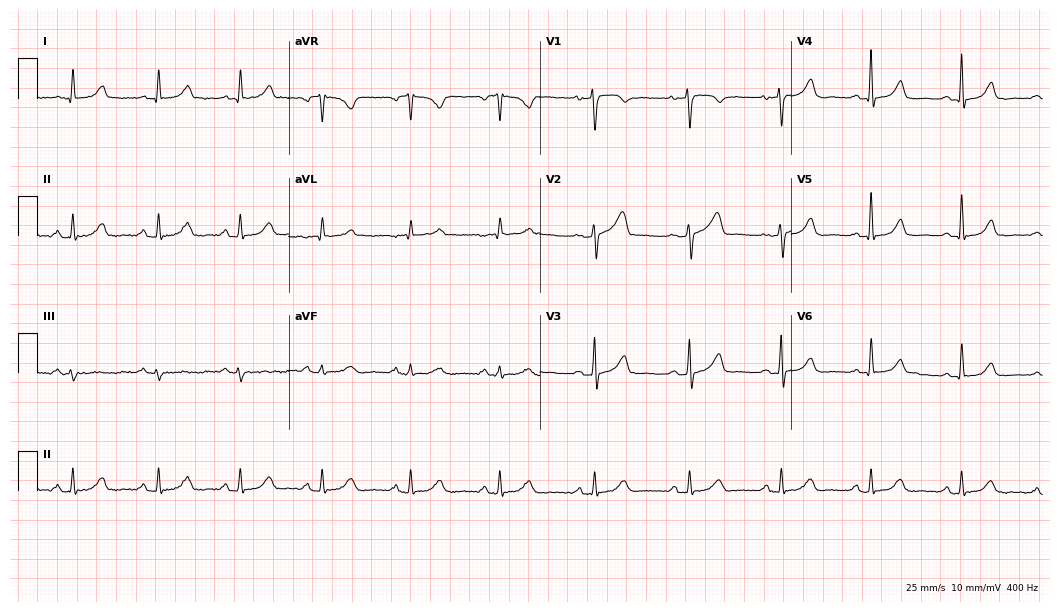
12-lead ECG from a 52-year-old woman (10.2-second recording at 400 Hz). No first-degree AV block, right bundle branch block, left bundle branch block, sinus bradycardia, atrial fibrillation or sinus tachycardia recorded for this tracing. Findings outside these six are not listed.